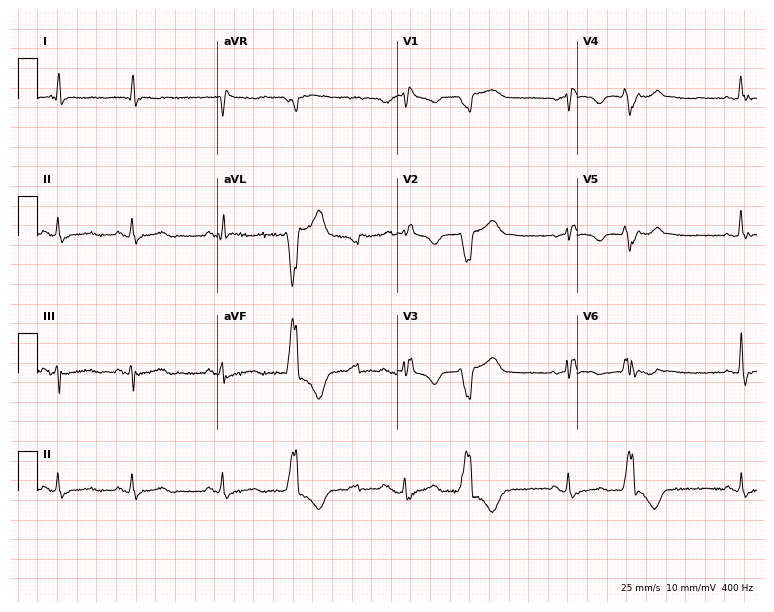
ECG — a female patient, 70 years old. Screened for six findings — first-degree AV block, right bundle branch block, left bundle branch block, sinus bradycardia, atrial fibrillation, sinus tachycardia — none is recorded. Only these six findings were labelled.